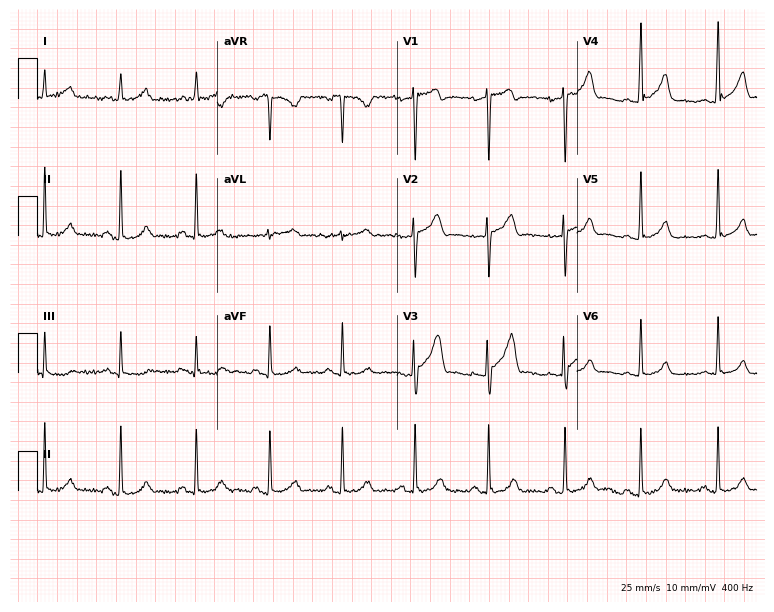
Electrocardiogram, a man, 36 years old. Overall reading on record: normal ECG.